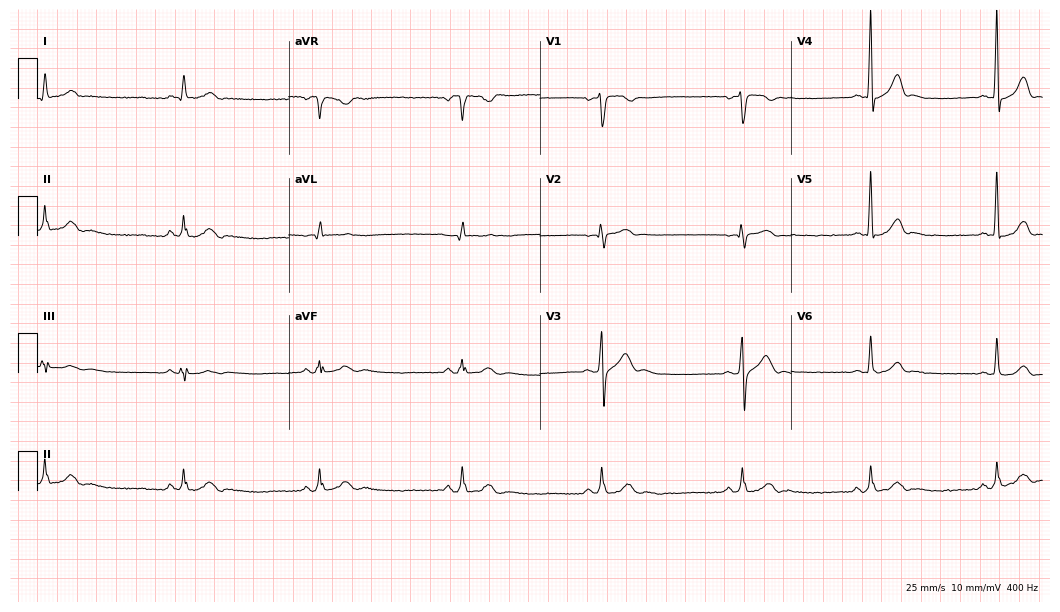
Standard 12-lead ECG recorded from a man, 25 years old (10.2-second recording at 400 Hz). None of these six findings is recorded: first-degree AV block, right bundle branch block (RBBB), left bundle branch block (LBBB), sinus bradycardia, atrial fibrillation (AF), sinus tachycardia.